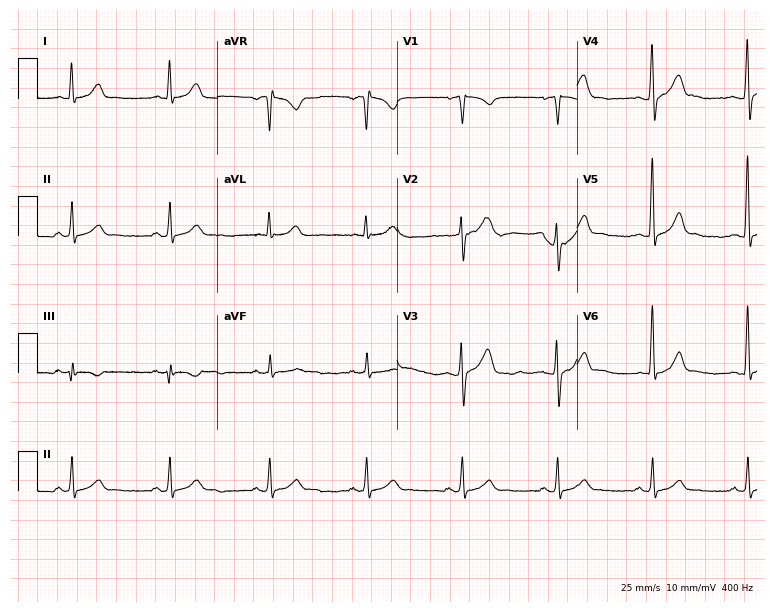
12-lead ECG (7.3-second recording at 400 Hz) from a 34-year-old man. Labelled as a normal ECG.